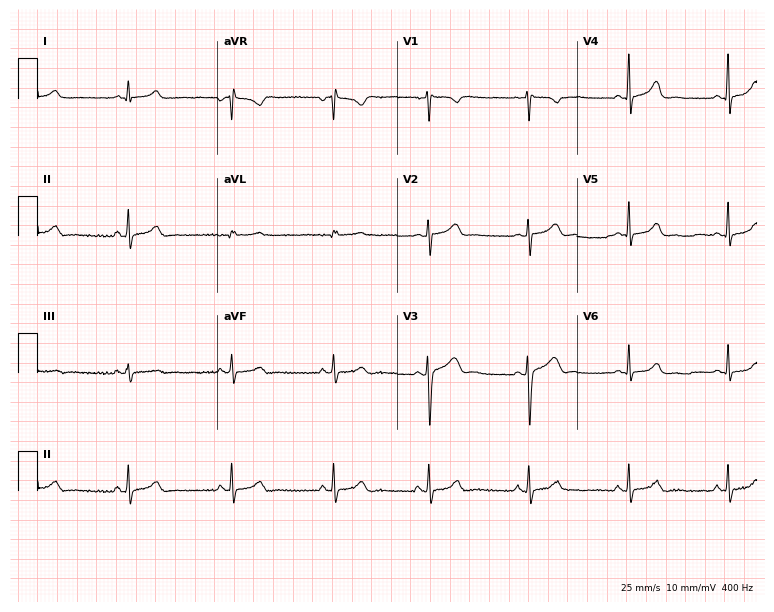
12-lead ECG from a 23-year-old female. Labelled as a normal ECG.